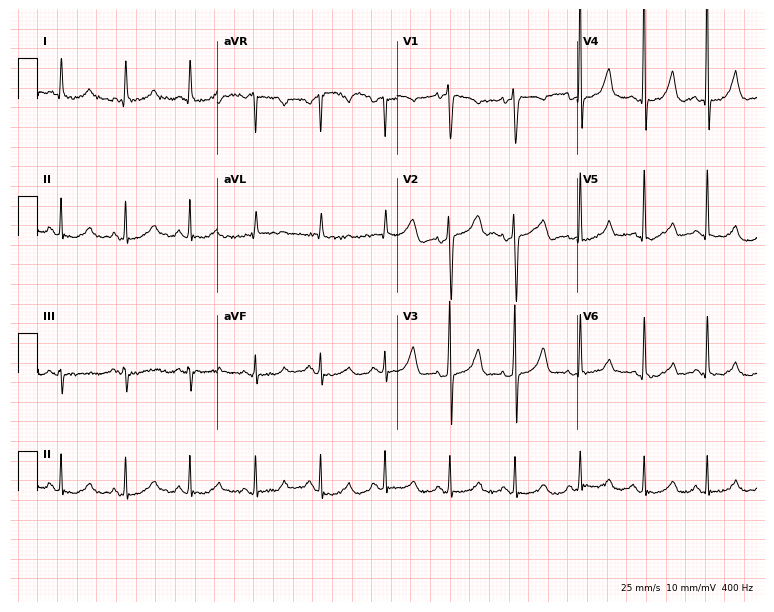
Electrocardiogram (7.3-second recording at 400 Hz), a female, 55 years old. Overall reading on record: normal ECG.